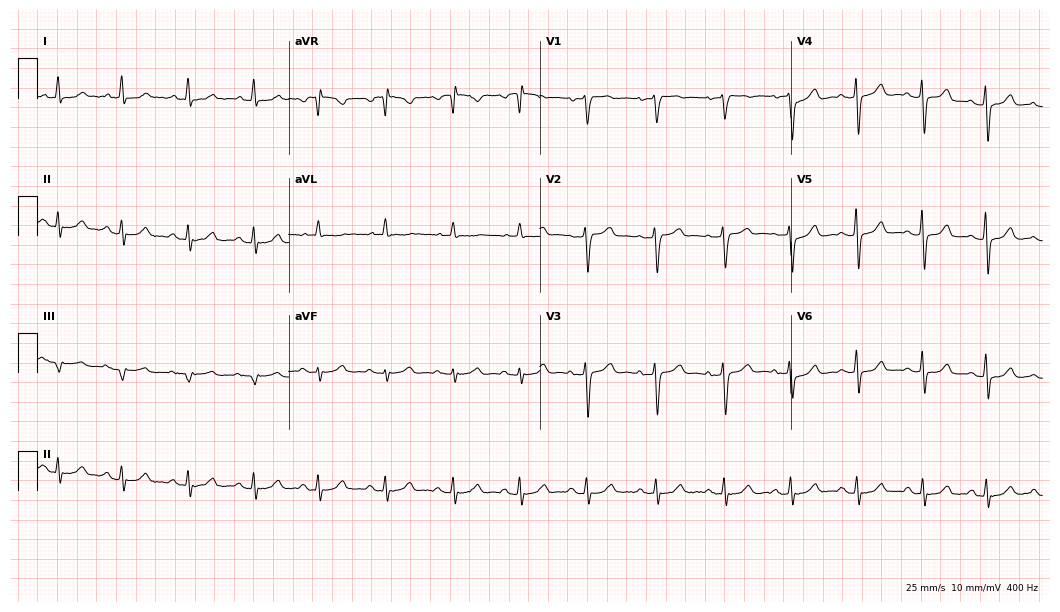
12-lead ECG (10.2-second recording at 400 Hz) from a female, 49 years old. Labelled as a normal ECG.